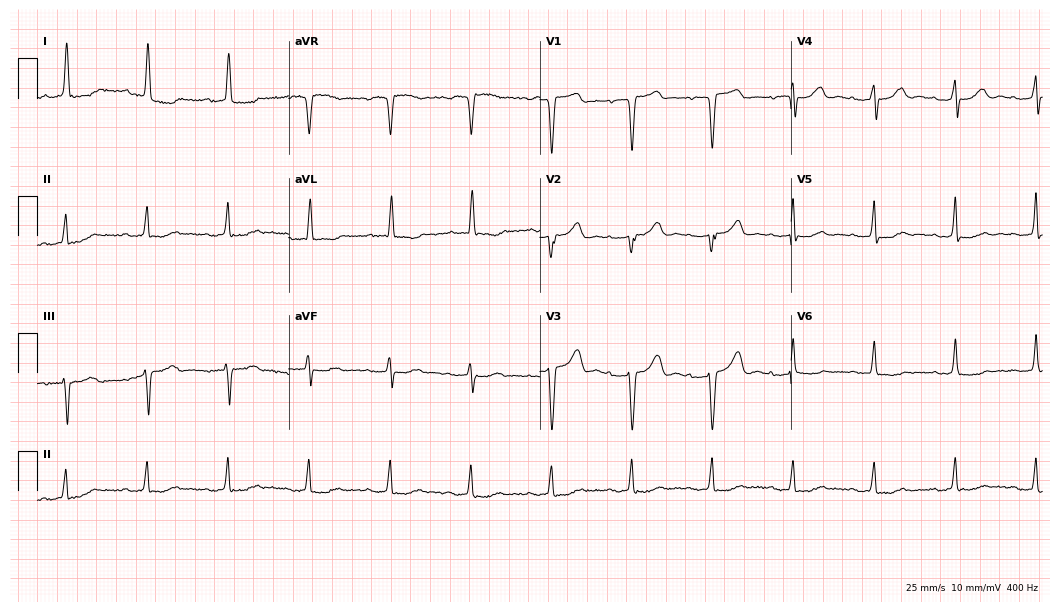
12-lead ECG from a female patient, 63 years old. Recorded interpretation: within normal limits.